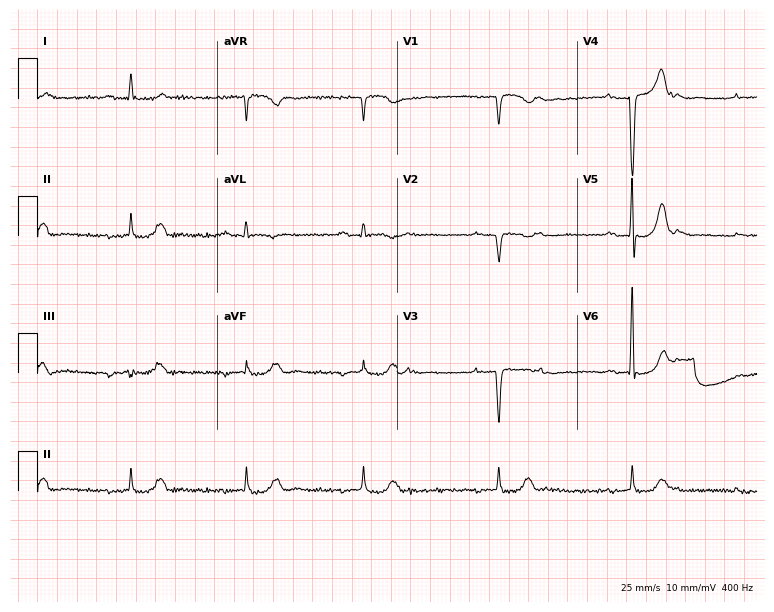
Resting 12-lead electrocardiogram (7.3-second recording at 400 Hz). Patient: a female, 84 years old. The tracing shows first-degree AV block.